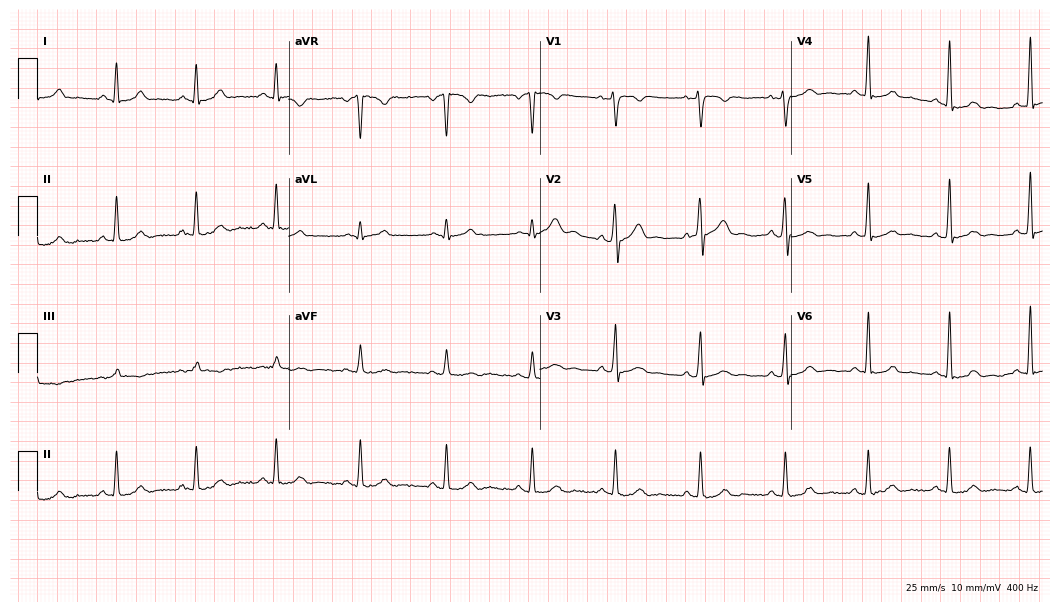
ECG — a man, 42 years old. Labelled as a normal ECG.